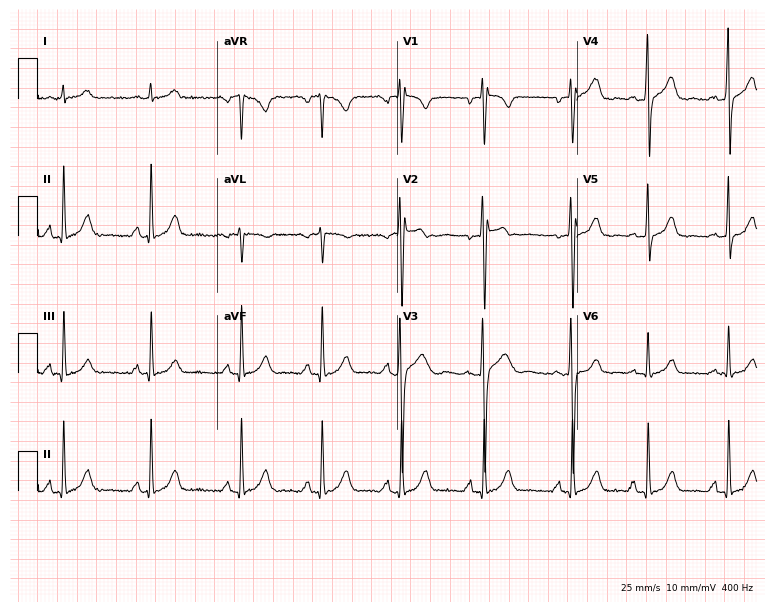
12-lead ECG (7.3-second recording at 400 Hz) from a female patient, 40 years old. Labelled as a normal ECG.